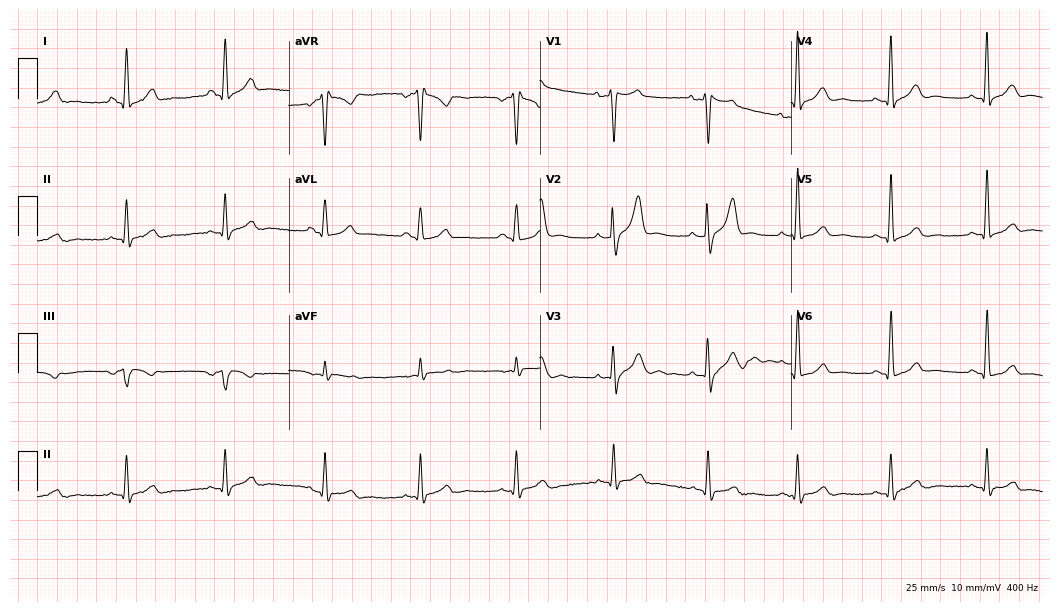
Electrocardiogram, a 33-year-old man. Of the six screened findings (first-degree AV block, right bundle branch block (RBBB), left bundle branch block (LBBB), sinus bradycardia, atrial fibrillation (AF), sinus tachycardia), none is recorded.